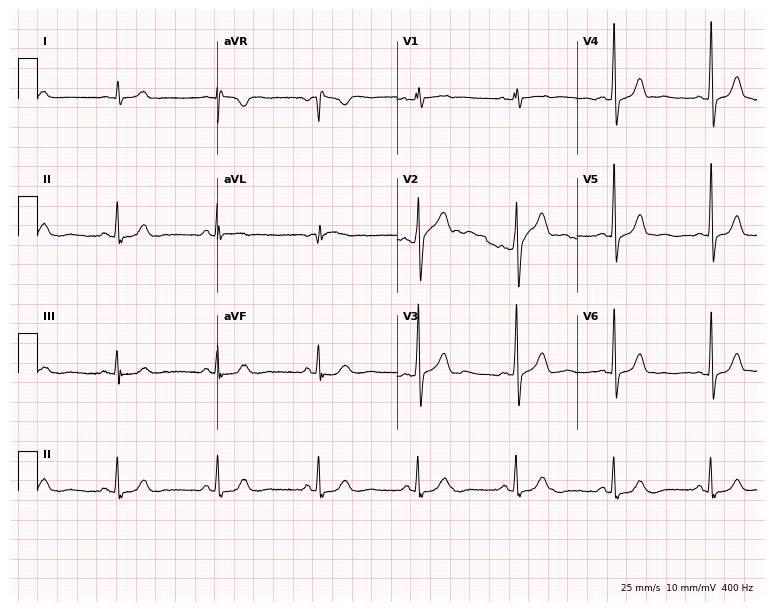
Resting 12-lead electrocardiogram (7.3-second recording at 400 Hz). Patient: a 61-year-old female. None of these six findings is recorded: first-degree AV block, right bundle branch block, left bundle branch block, sinus bradycardia, atrial fibrillation, sinus tachycardia. Findings outside these six are not listed.